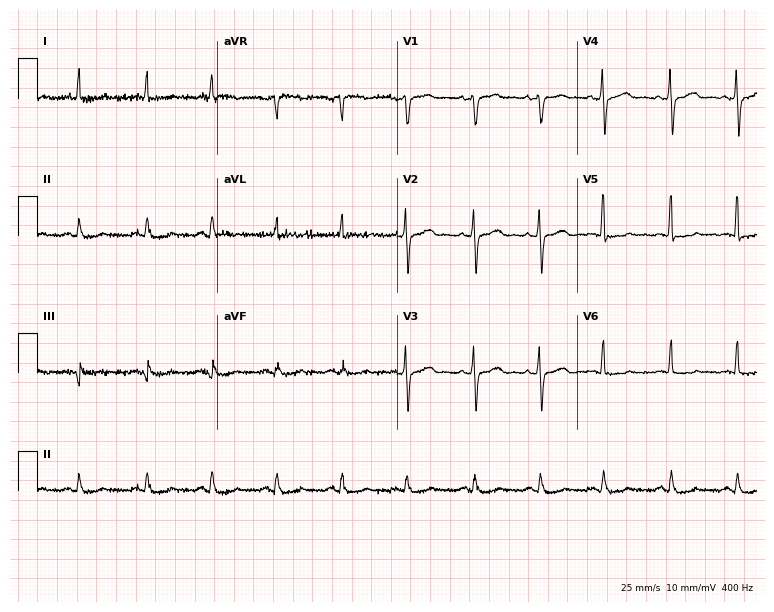
Resting 12-lead electrocardiogram (7.3-second recording at 400 Hz). Patient: a male, 77 years old. None of these six findings is recorded: first-degree AV block, right bundle branch block, left bundle branch block, sinus bradycardia, atrial fibrillation, sinus tachycardia.